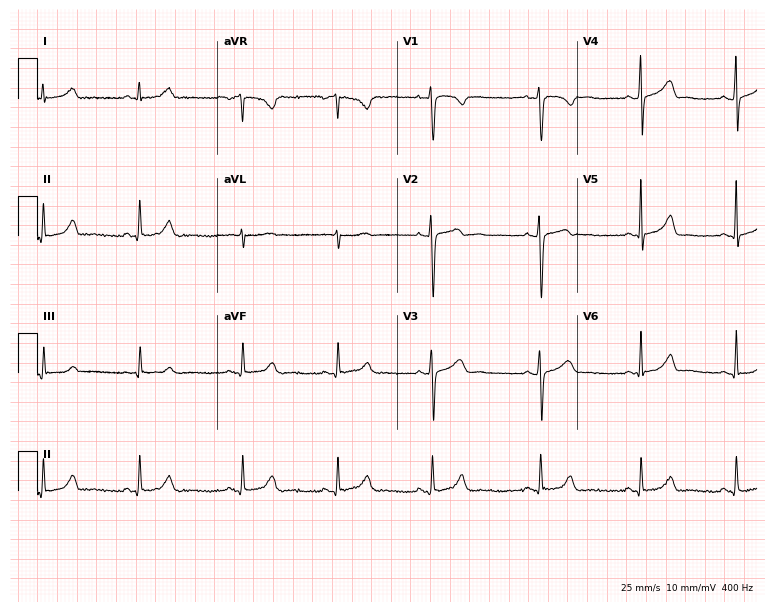
Electrocardiogram (7.3-second recording at 400 Hz), a 37-year-old female. Overall reading on record: normal ECG.